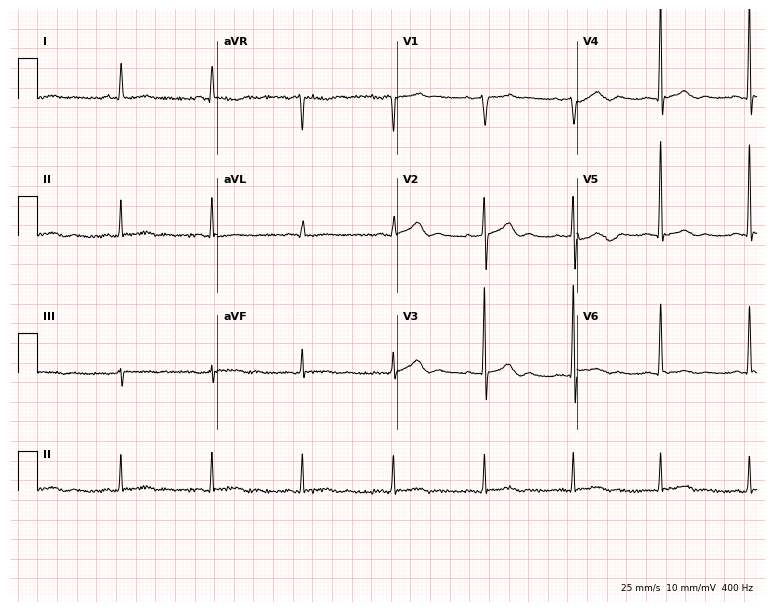
Electrocardiogram (7.3-second recording at 400 Hz), a male, 68 years old. Of the six screened findings (first-degree AV block, right bundle branch block, left bundle branch block, sinus bradycardia, atrial fibrillation, sinus tachycardia), none is recorded.